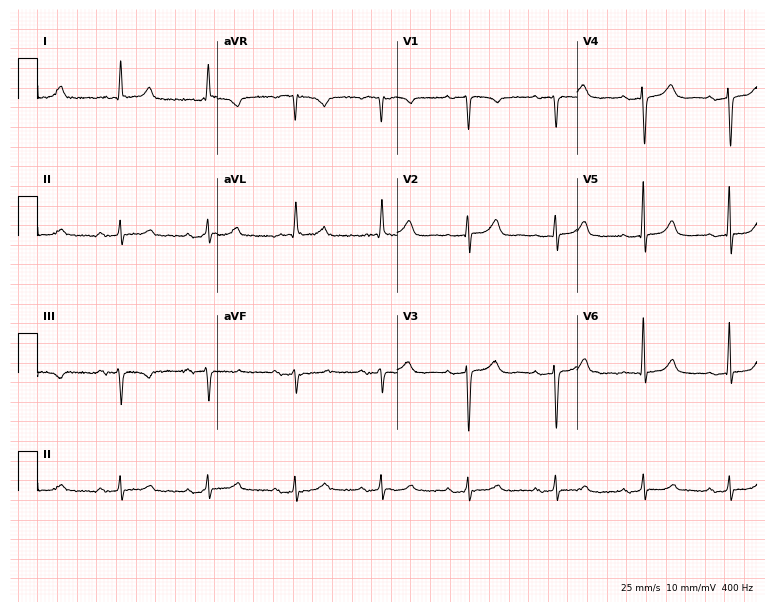
Standard 12-lead ECG recorded from an 83-year-old female. None of these six findings is recorded: first-degree AV block, right bundle branch block (RBBB), left bundle branch block (LBBB), sinus bradycardia, atrial fibrillation (AF), sinus tachycardia. Findings outside these six are not listed.